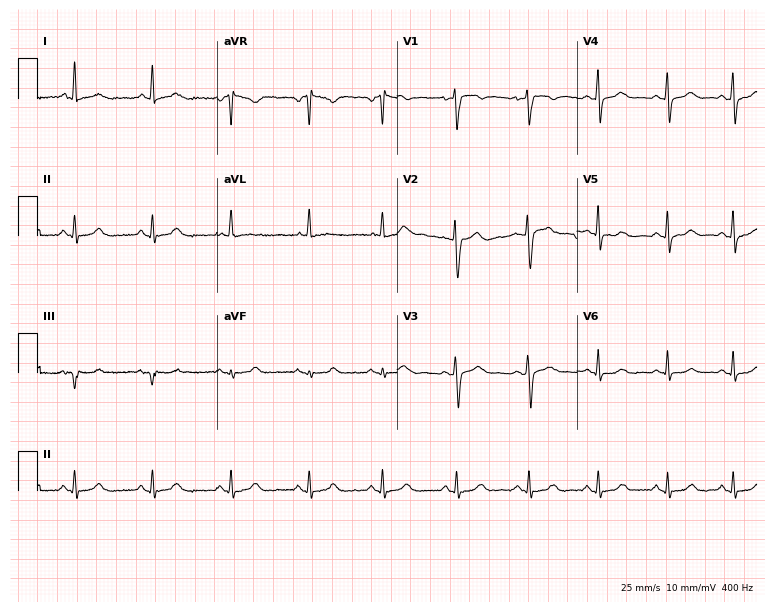
ECG — a woman, 47 years old. Labelled as a normal ECG.